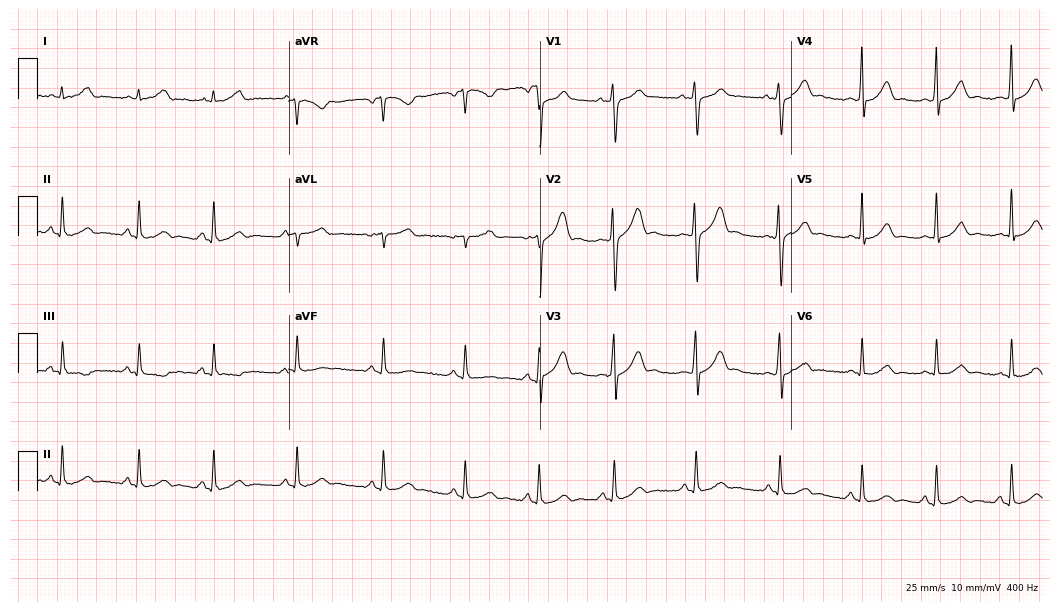
ECG — a male, 18 years old. Labelled as a normal ECG.